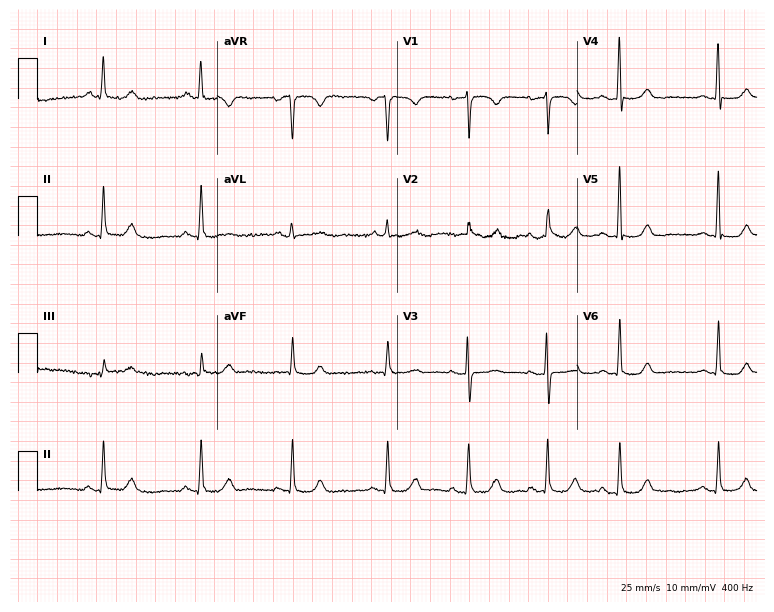
12-lead ECG (7.3-second recording at 400 Hz) from a female, 68 years old. Screened for six findings — first-degree AV block, right bundle branch block, left bundle branch block, sinus bradycardia, atrial fibrillation, sinus tachycardia — none is recorded.